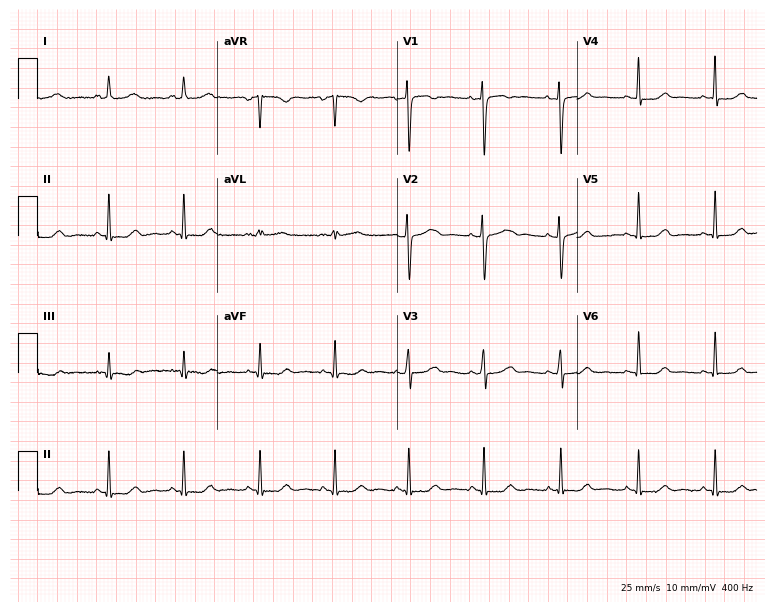
12-lead ECG from a 38-year-old female patient. Screened for six findings — first-degree AV block, right bundle branch block, left bundle branch block, sinus bradycardia, atrial fibrillation, sinus tachycardia — none is recorded.